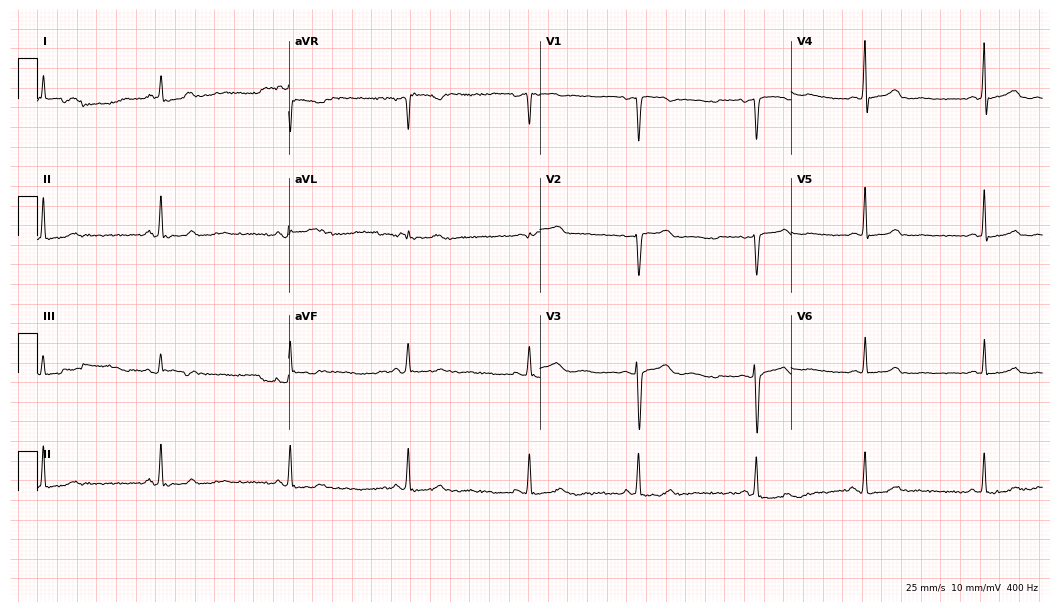
ECG (10.2-second recording at 400 Hz) — a female, 42 years old. Findings include sinus bradycardia (a sinus rate of 50 beats per minute or less).